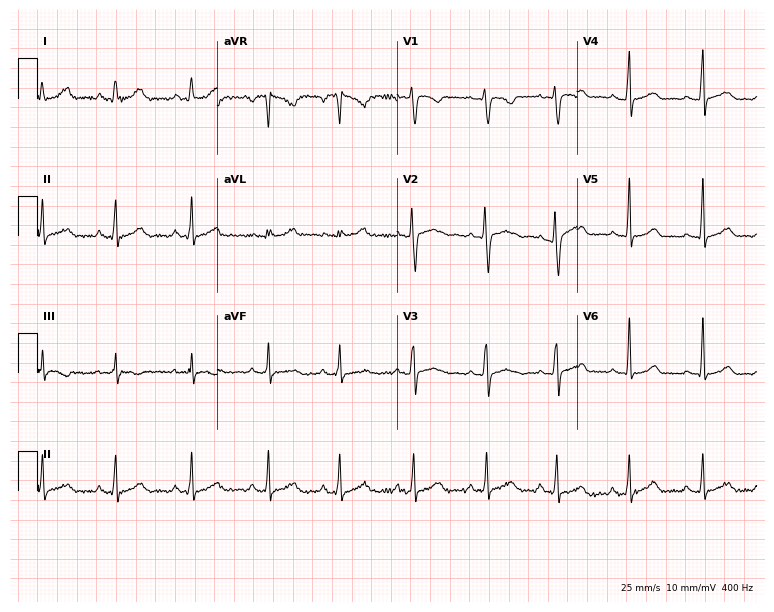
Resting 12-lead electrocardiogram (7.3-second recording at 400 Hz). Patient: a 27-year-old female. Read as a normal ECG.